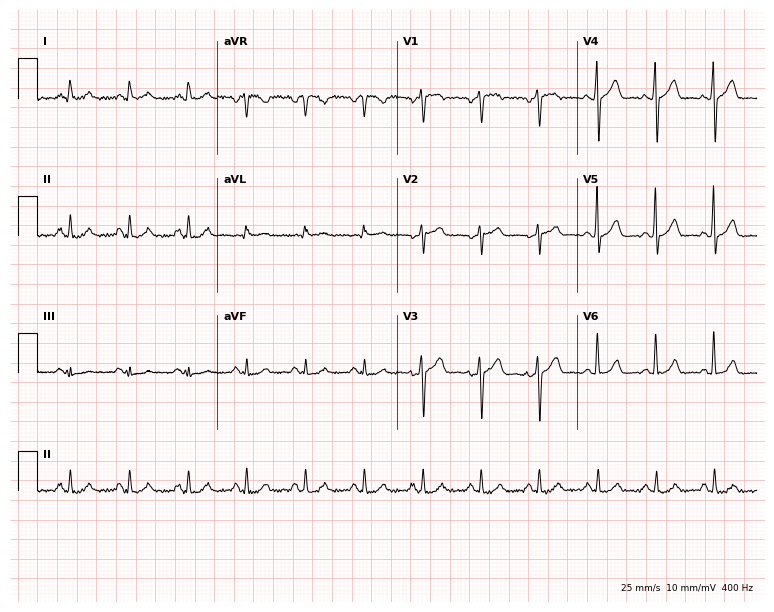
12-lead ECG from a male patient, 68 years old (7.3-second recording at 400 Hz). Recorded interpretation: within normal limits.